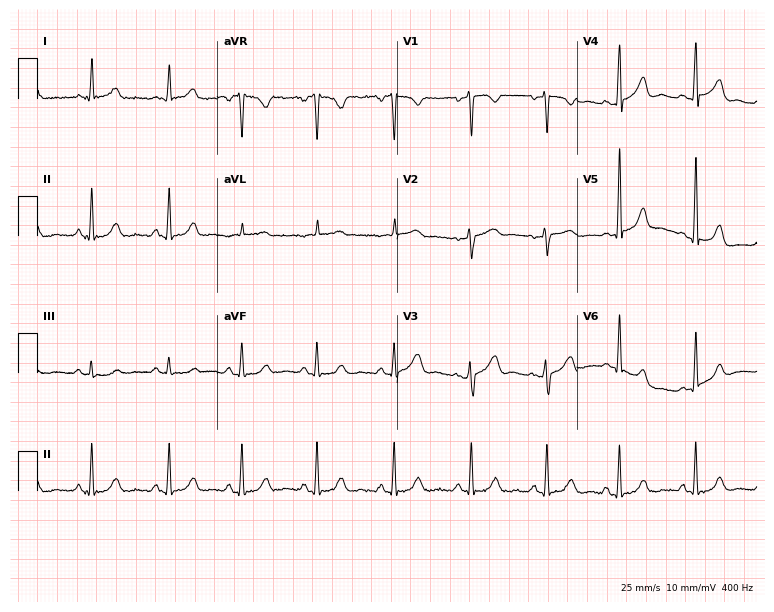
Electrocardiogram, a woman, 46 years old. Of the six screened findings (first-degree AV block, right bundle branch block, left bundle branch block, sinus bradycardia, atrial fibrillation, sinus tachycardia), none is recorded. Only these six findings were labelled.